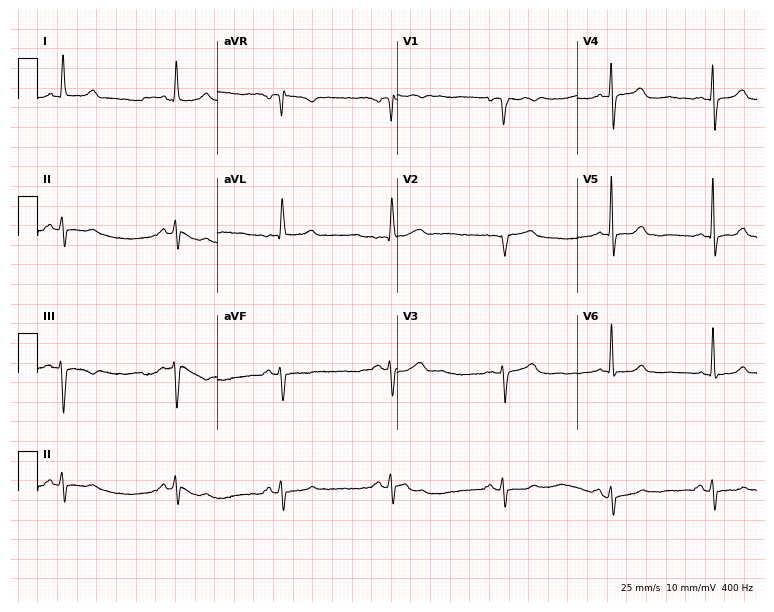
Standard 12-lead ECG recorded from a 51-year-old female patient. None of these six findings is recorded: first-degree AV block, right bundle branch block, left bundle branch block, sinus bradycardia, atrial fibrillation, sinus tachycardia. Other findings, if any, are not listed.